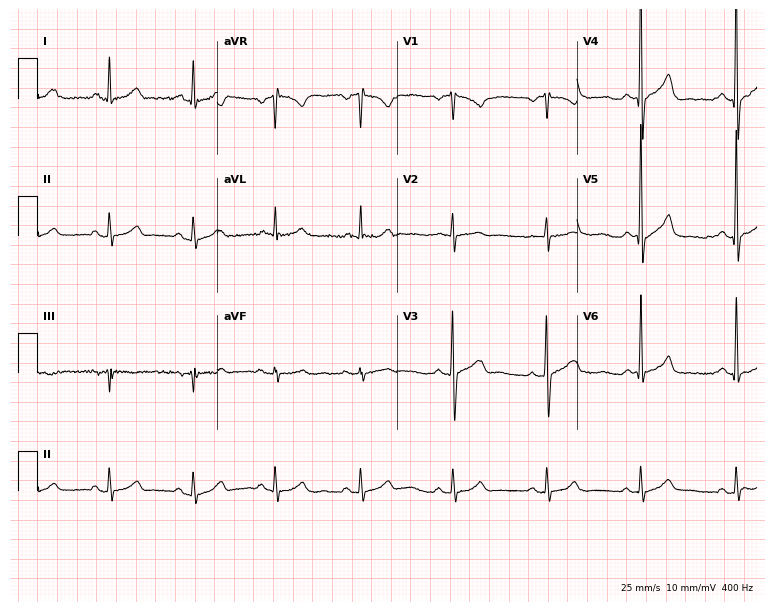
ECG (7.3-second recording at 400 Hz) — a male, 51 years old. Screened for six findings — first-degree AV block, right bundle branch block, left bundle branch block, sinus bradycardia, atrial fibrillation, sinus tachycardia — none is recorded.